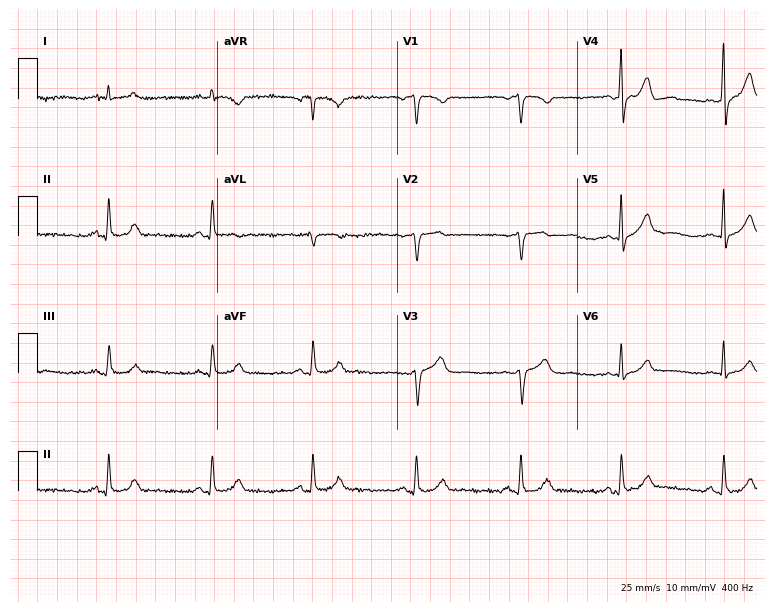
Standard 12-lead ECG recorded from a male patient, 58 years old. None of these six findings is recorded: first-degree AV block, right bundle branch block, left bundle branch block, sinus bradycardia, atrial fibrillation, sinus tachycardia.